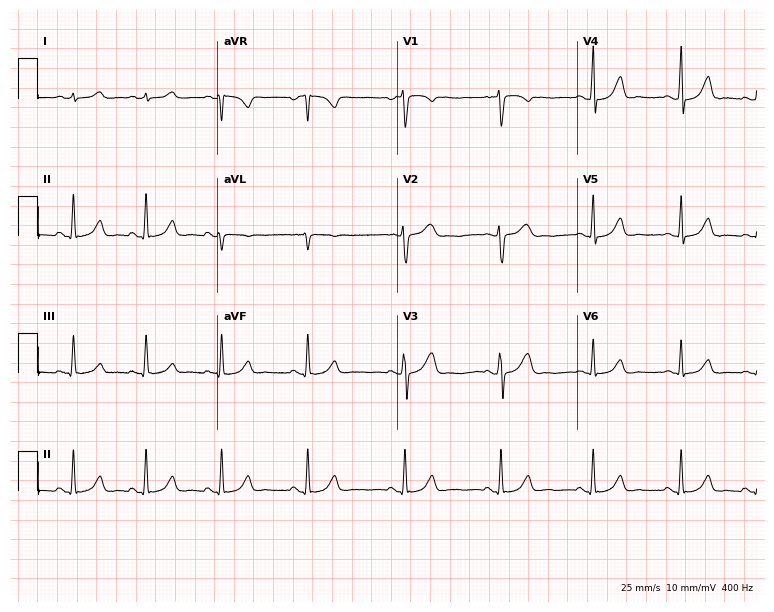
ECG — a female patient, 31 years old. Labelled as a normal ECG.